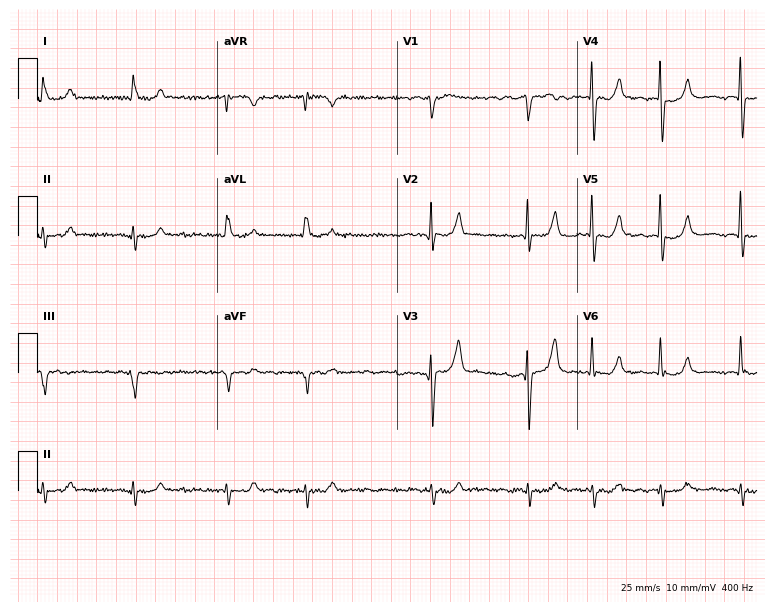
Standard 12-lead ECG recorded from a 76-year-old male. The tracing shows atrial fibrillation (AF).